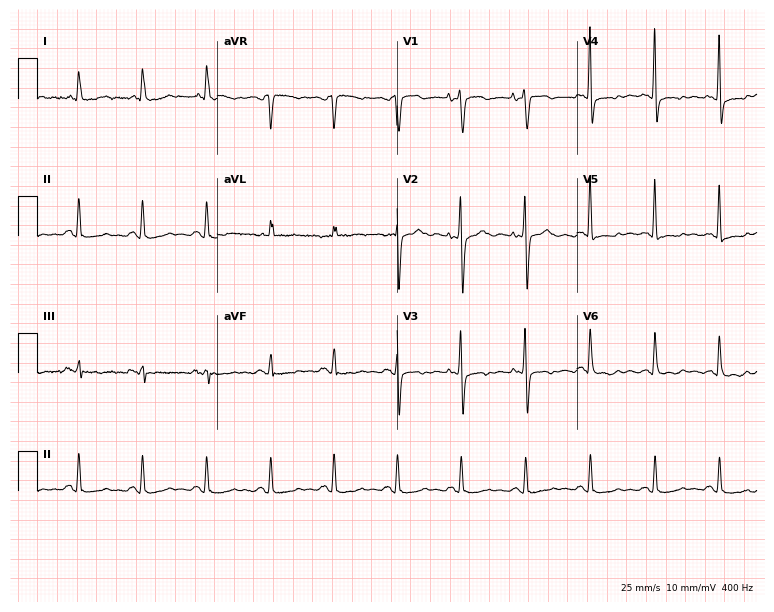
Resting 12-lead electrocardiogram (7.3-second recording at 400 Hz). Patient: a 78-year-old woman. None of these six findings is recorded: first-degree AV block, right bundle branch block, left bundle branch block, sinus bradycardia, atrial fibrillation, sinus tachycardia.